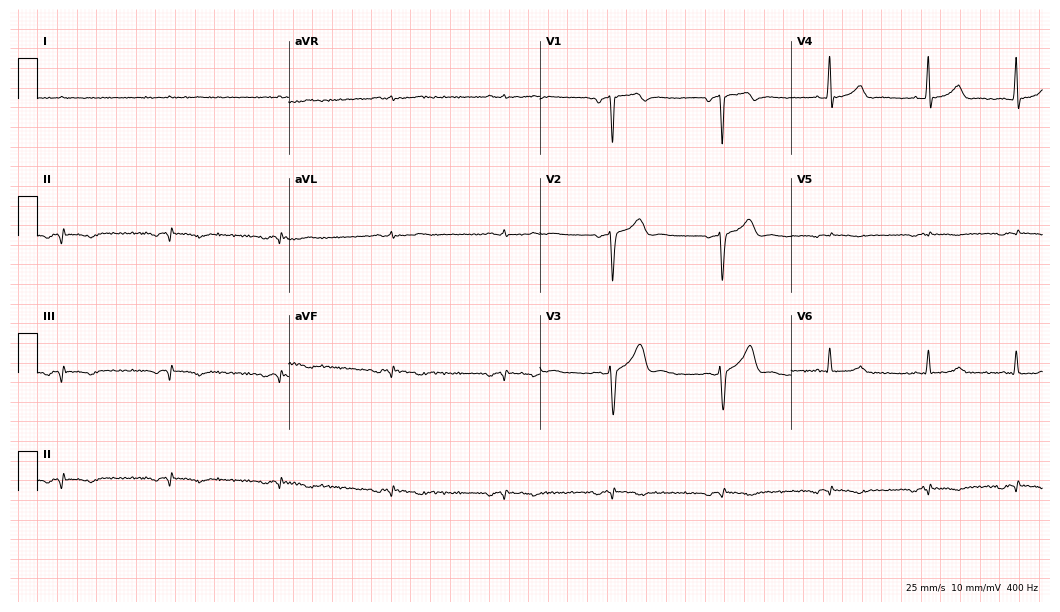
Standard 12-lead ECG recorded from a 59-year-old male patient (10.2-second recording at 400 Hz). None of these six findings is recorded: first-degree AV block, right bundle branch block (RBBB), left bundle branch block (LBBB), sinus bradycardia, atrial fibrillation (AF), sinus tachycardia. Only these six findings were labelled.